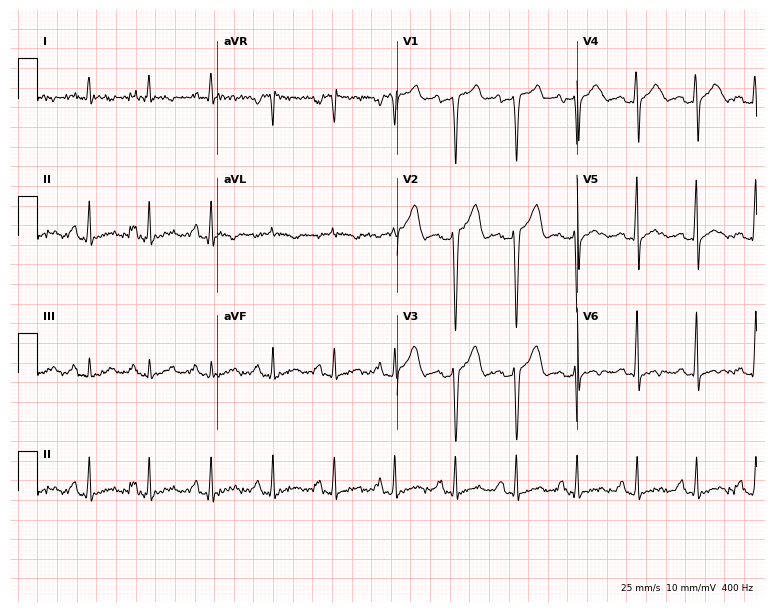
Resting 12-lead electrocardiogram (7.3-second recording at 400 Hz). Patient: a male, 41 years old. None of these six findings is recorded: first-degree AV block, right bundle branch block, left bundle branch block, sinus bradycardia, atrial fibrillation, sinus tachycardia. Findings outside these six are not listed.